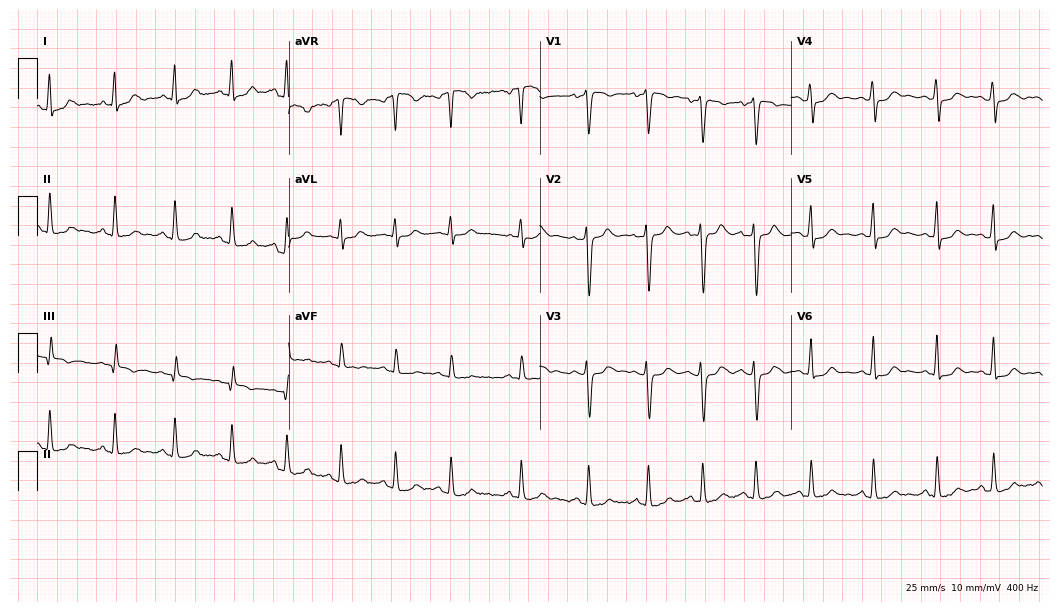
Resting 12-lead electrocardiogram (10.2-second recording at 400 Hz). Patient: a 25-year-old woman. Read as a normal ECG.